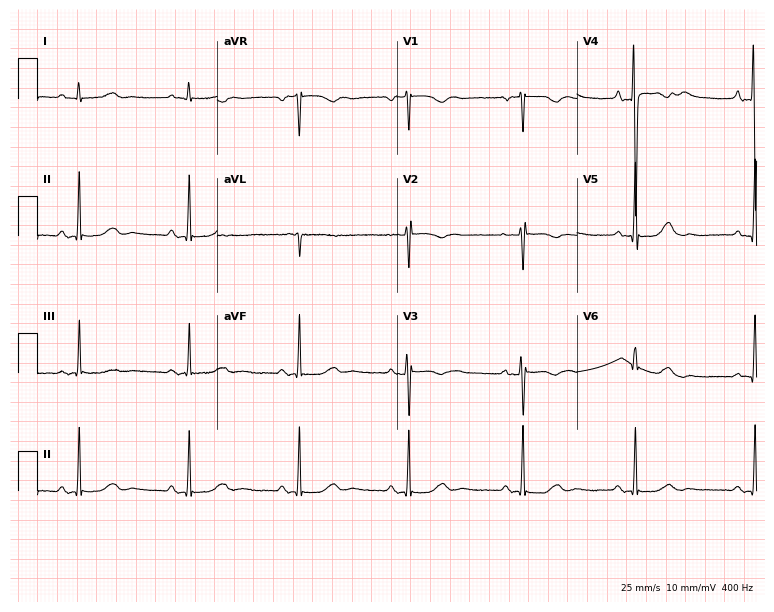
Standard 12-lead ECG recorded from a 45-year-old female patient (7.3-second recording at 400 Hz). None of these six findings is recorded: first-degree AV block, right bundle branch block, left bundle branch block, sinus bradycardia, atrial fibrillation, sinus tachycardia. Other findings, if any, are not listed.